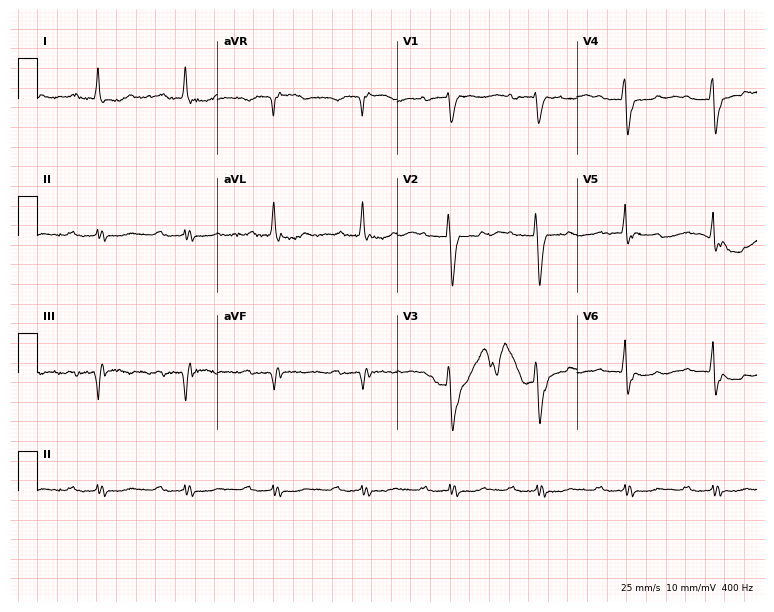
Resting 12-lead electrocardiogram (7.3-second recording at 400 Hz). Patient: a female, 83 years old. The tracing shows first-degree AV block, left bundle branch block.